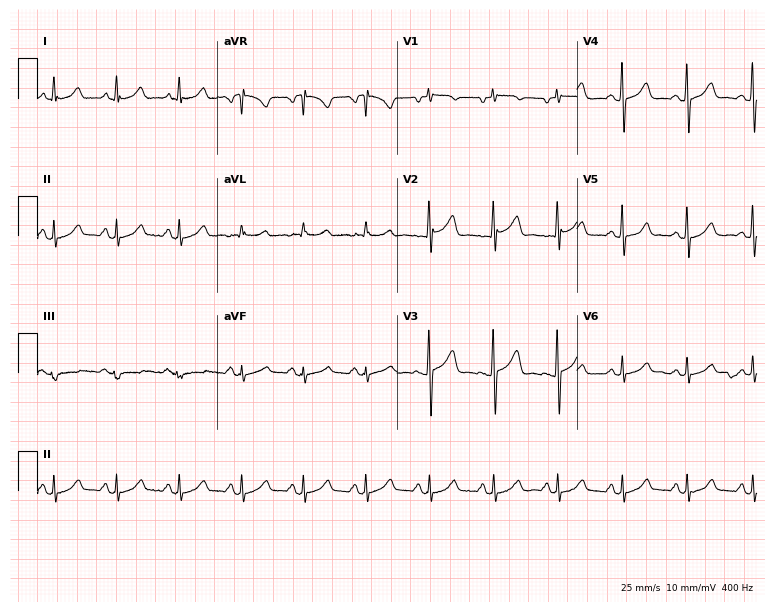
Resting 12-lead electrocardiogram (7.3-second recording at 400 Hz). Patient: a 50-year-old female. Read as a normal ECG.